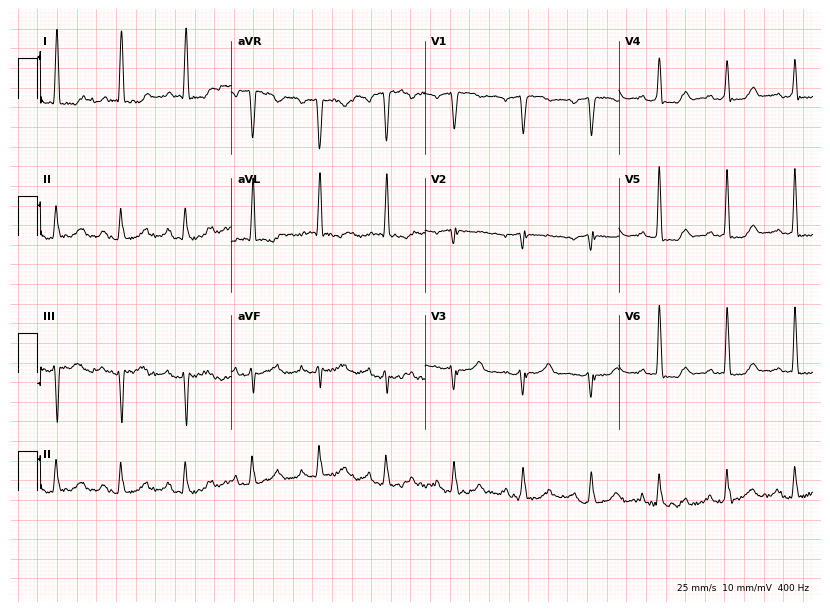
ECG — a 68-year-old woman. Screened for six findings — first-degree AV block, right bundle branch block, left bundle branch block, sinus bradycardia, atrial fibrillation, sinus tachycardia — none is recorded.